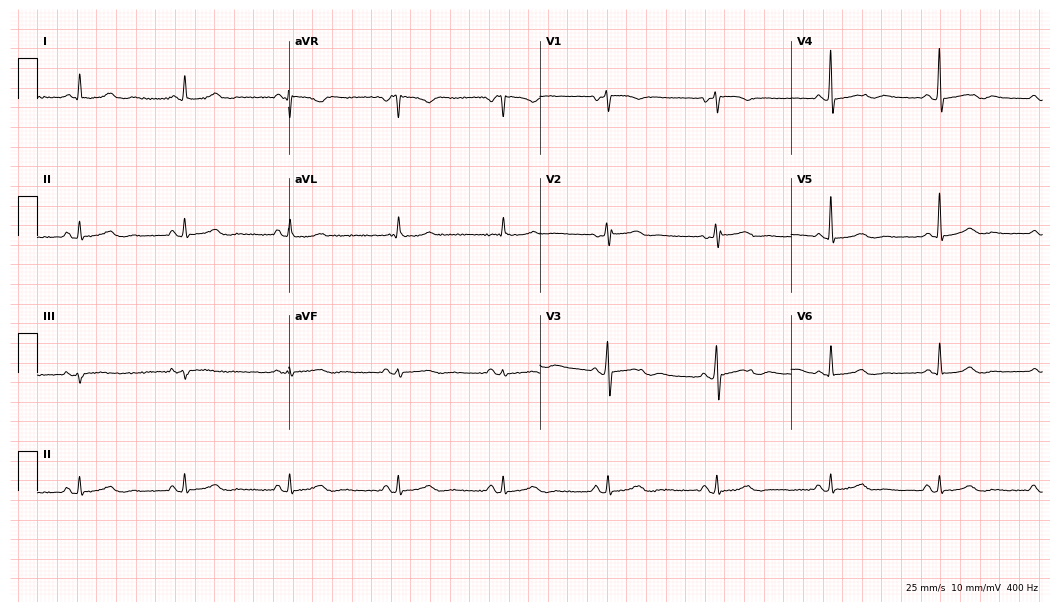
12-lead ECG from a female patient, 69 years old (10.2-second recording at 400 Hz). No first-degree AV block, right bundle branch block, left bundle branch block, sinus bradycardia, atrial fibrillation or sinus tachycardia recorded for this tracing.